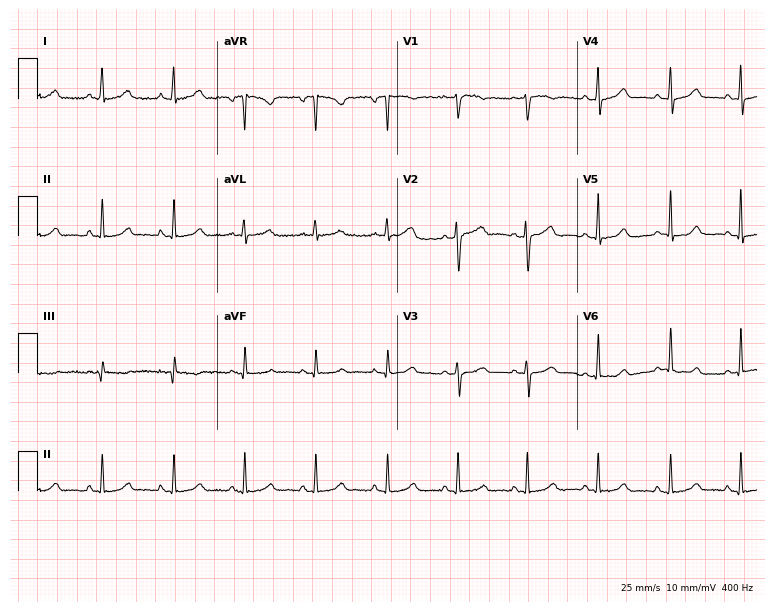
12-lead ECG from a 39-year-old female. Recorded interpretation: within normal limits.